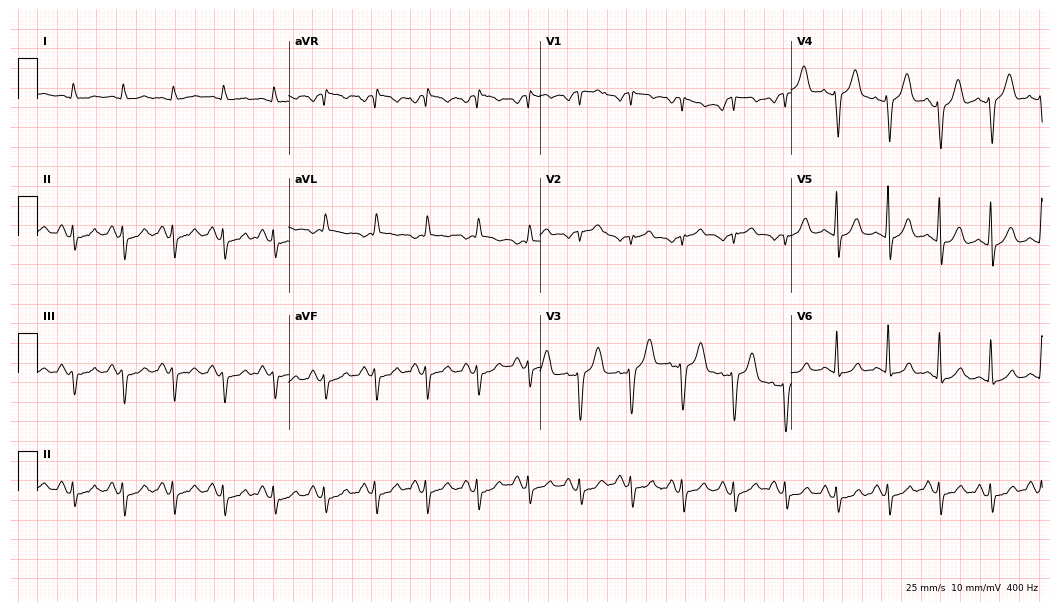
12-lead ECG from a 72-year-old man (10.2-second recording at 400 Hz). Shows sinus tachycardia (a sinus rate of 100 beats per minute or more).